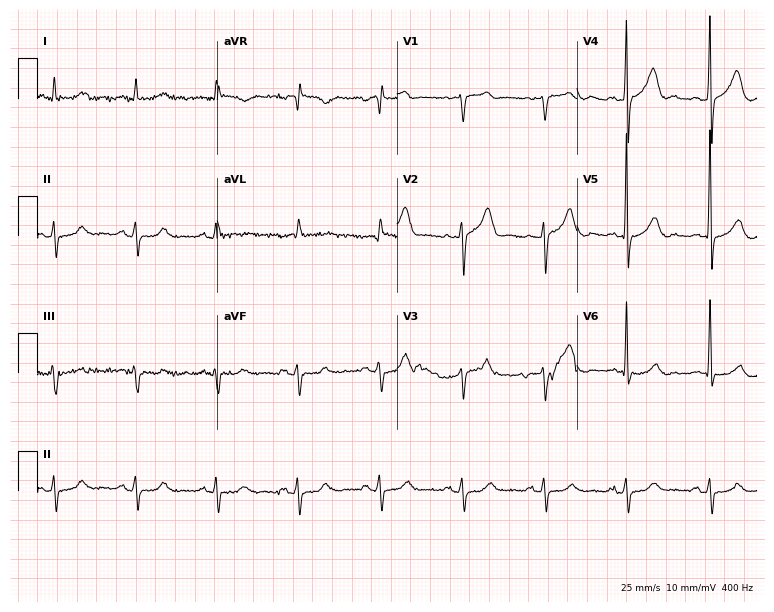
Resting 12-lead electrocardiogram. Patient: a 78-year-old male. Read as a normal ECG.